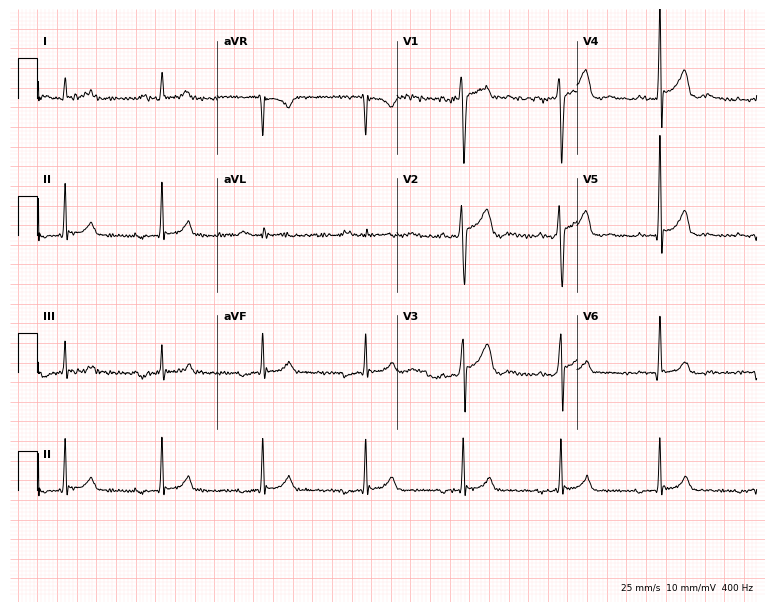
ECG (7.3-second recording at 400 Hz) — a 28-year-old man. Screened for six findings — first-degree AV block, right bundle branch block (RBBB), left bundle branch block (LBBB), sinus bradycardia, atrial fibrillation (AF), sinus tachycardia — none is recorded.